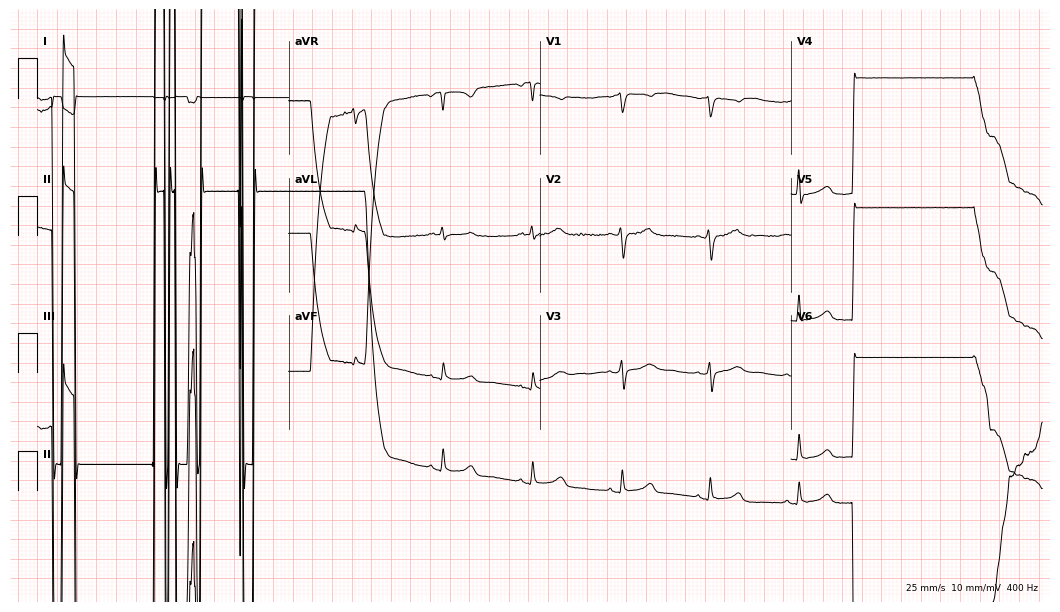
12-lead ECG from a woman, 57 years old. No first-degree AV block, right bundle branch block, left bundle branch block, sinus bradycardia, atrial fibrillation or sinus tachycardia recorded for this tracing. Other findings, if any, are not listed.